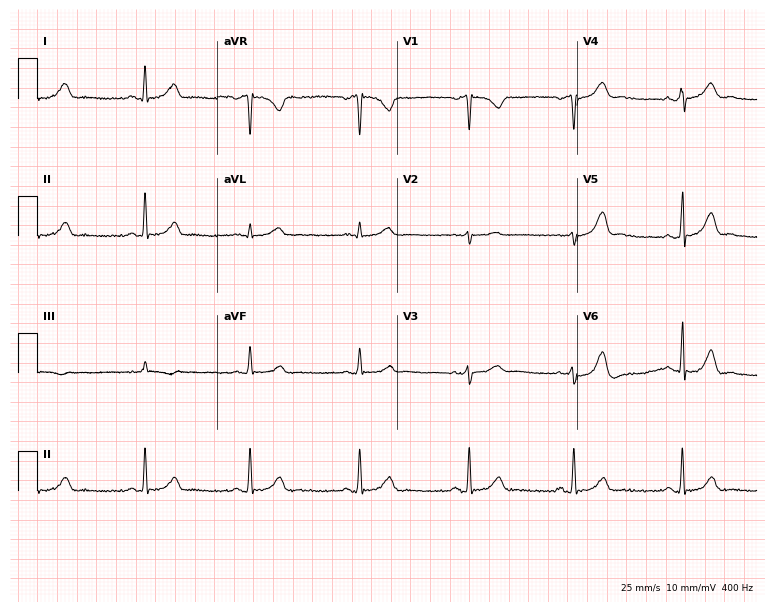
Standard 12-lead ECG recorded from a 25-year-old female. Read as a normal ECG.